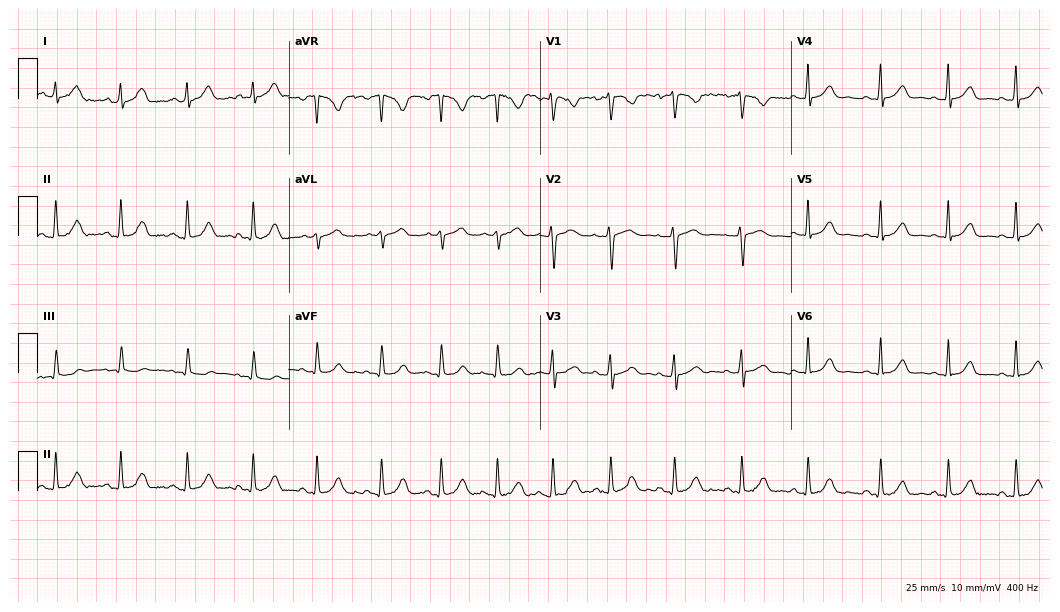
Electrocardiogram (10.2-second recording at 400 Hz), a 26-year-old female. Overall reading on record: normal ECG.